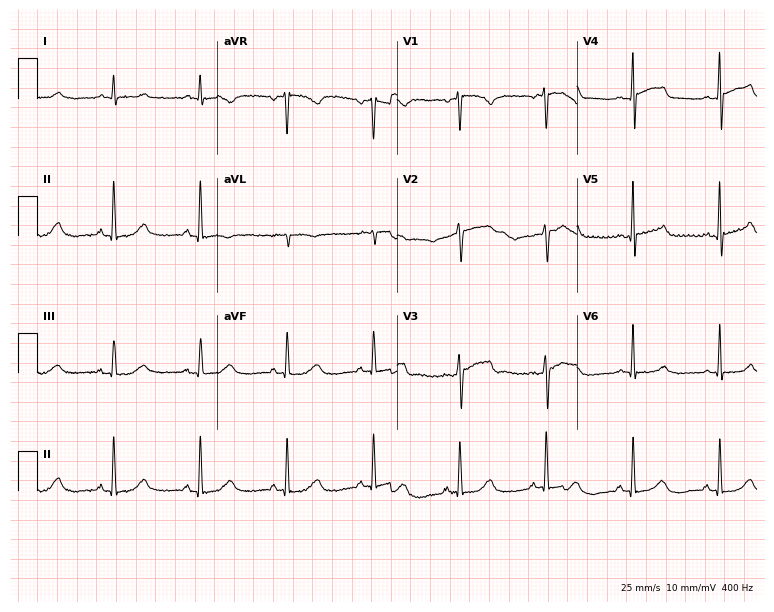
ECG — a 64-year-old male. Labelled as a normal ECG.